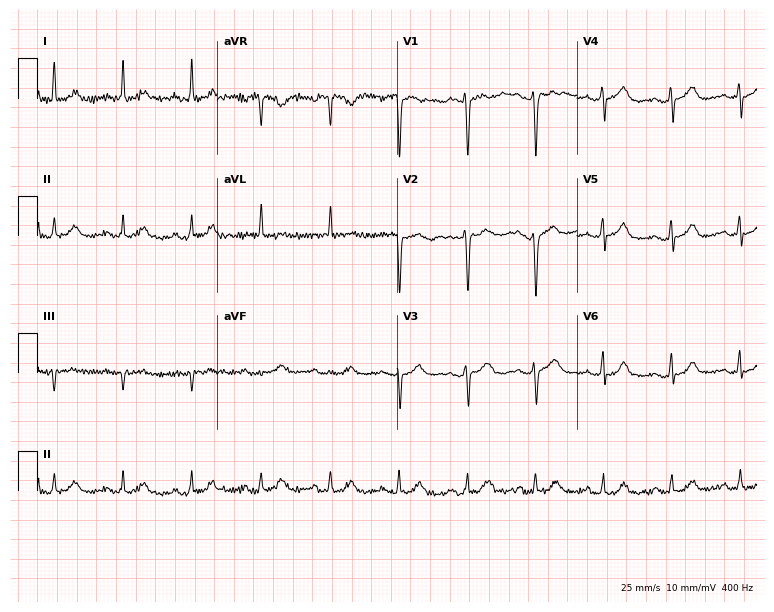
12-lead ECG (7.3-second recording at 400 Hz) from a female, 48 years old. Labelled as a normal ECG.